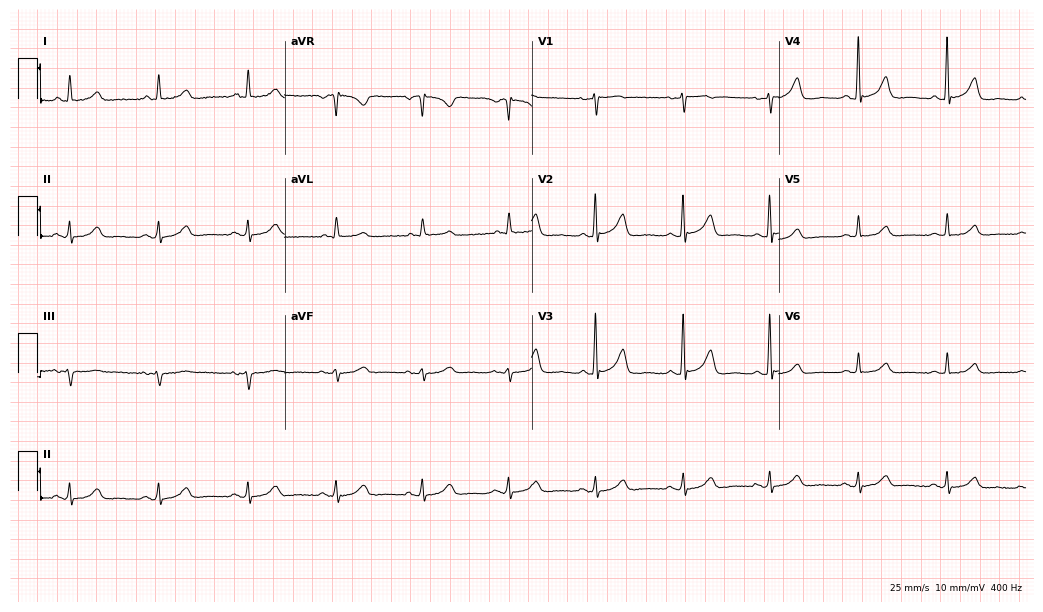
Standard 12-lead ECG recorded from a 69-year-old female patient. Read as a normal ECG.